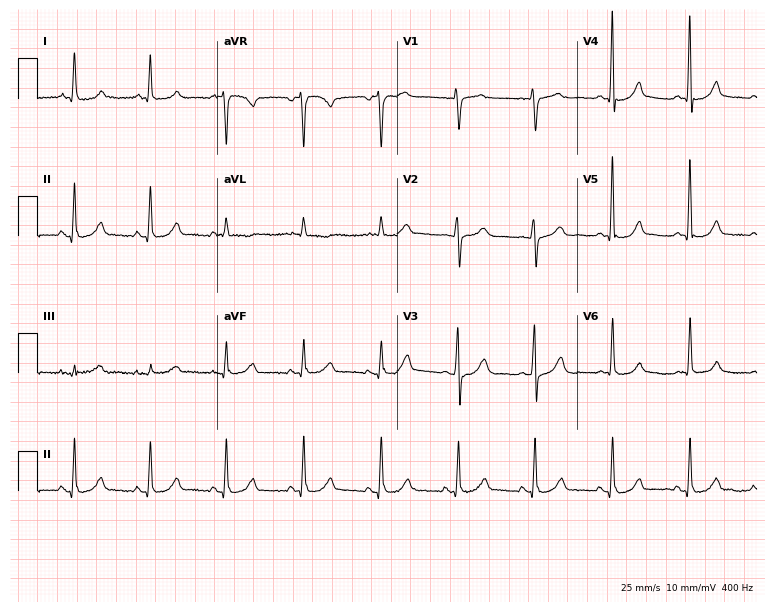
Standard 12-lead ECG recorded from a 65-year-old female. Read as a normal ECG.